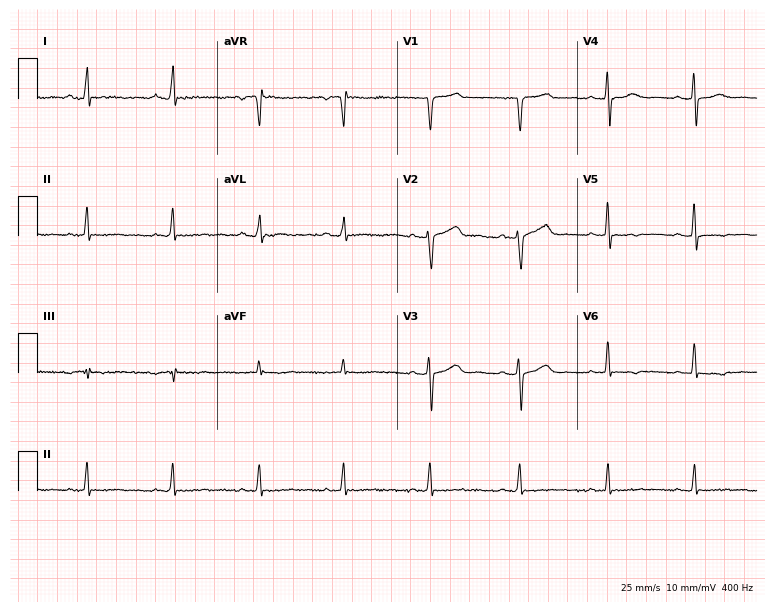
Electrocardiogram, a 37-year-old female patient. Of the six screened findings (first-degree AV block, right bundle branch block (RBBB), left bundle branch block (LBBB), sinus bradycardia, atrial fibrillation (AF), sinus tachycardia), none is recorded. Other findings, if any, are not listed.